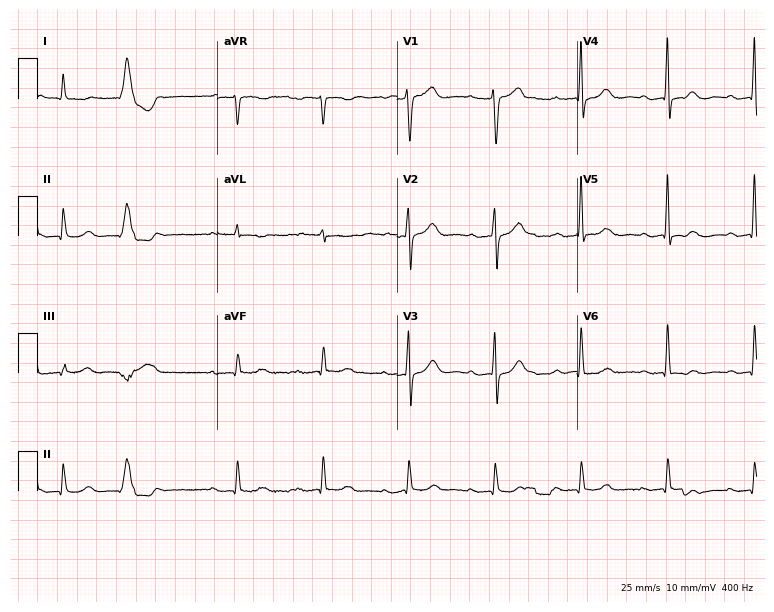
12-lead ECG from a male, 76 years old. Shows first-degree AV block.